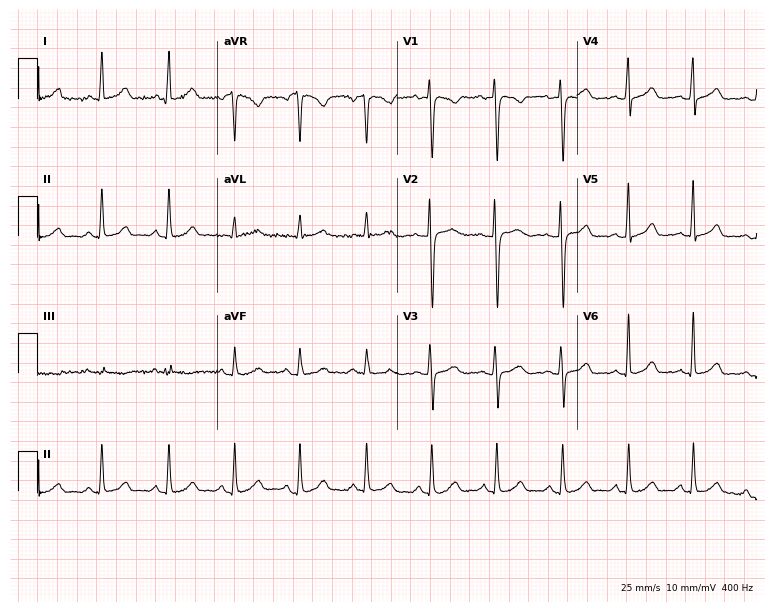
12-lead ECG (7.3-second recording at 400 Hz) from a woman, 45 years old. Labelled as a normal ECG.